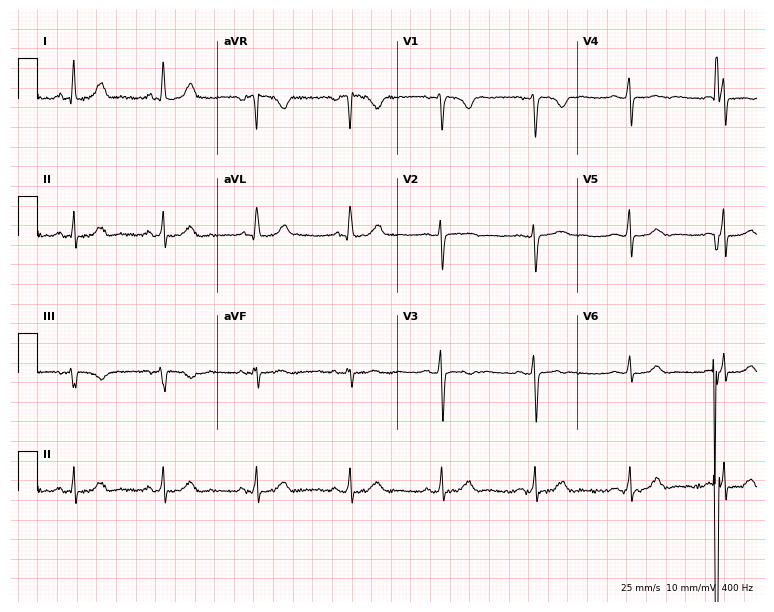
ECG — a 43-year-old female patient. Labelled as a normal ECG.